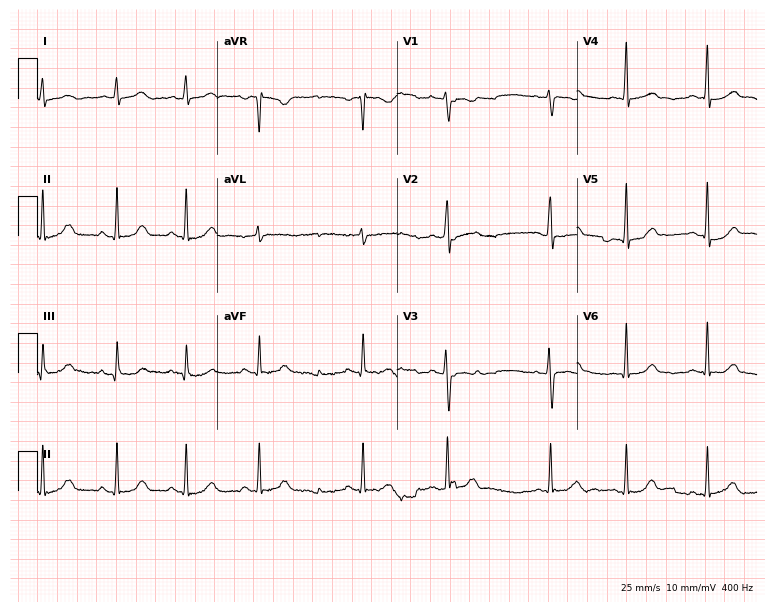
12-lead ECG (7.3-second recording at 400 Hz) from a 17-year-old female. Screened for six findings — first-degree AV block, right bundle branch block, left bundle branch block, sinus bradycardia, atrial fibrillation, sinus tachycardia — none is recorded. Only these six findings were labelled.